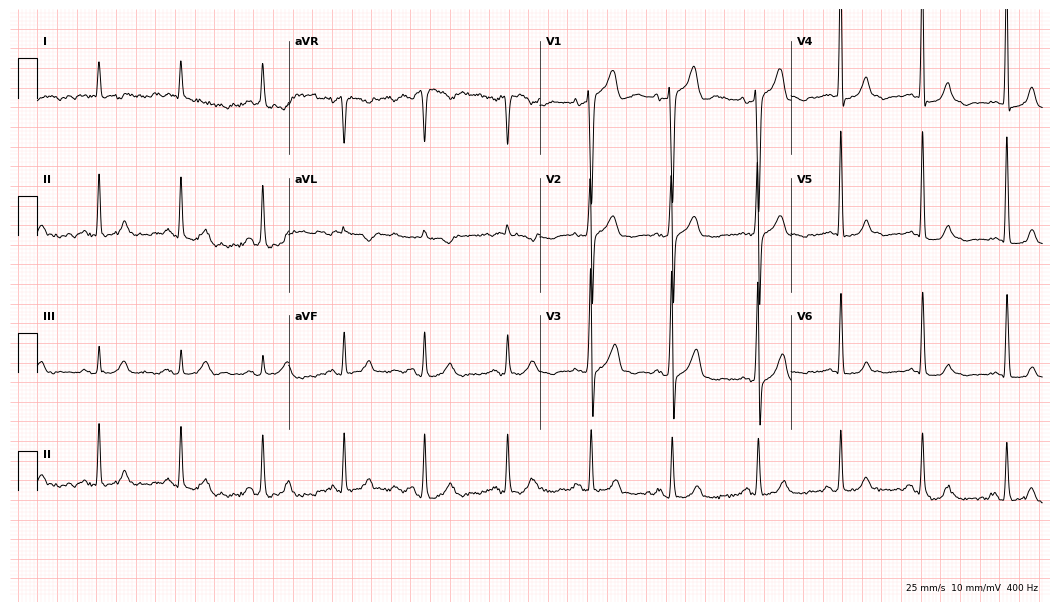
Resting 12-lead electrocardiogram. Patient: an 82-year-old male. Read as a normal ECG.